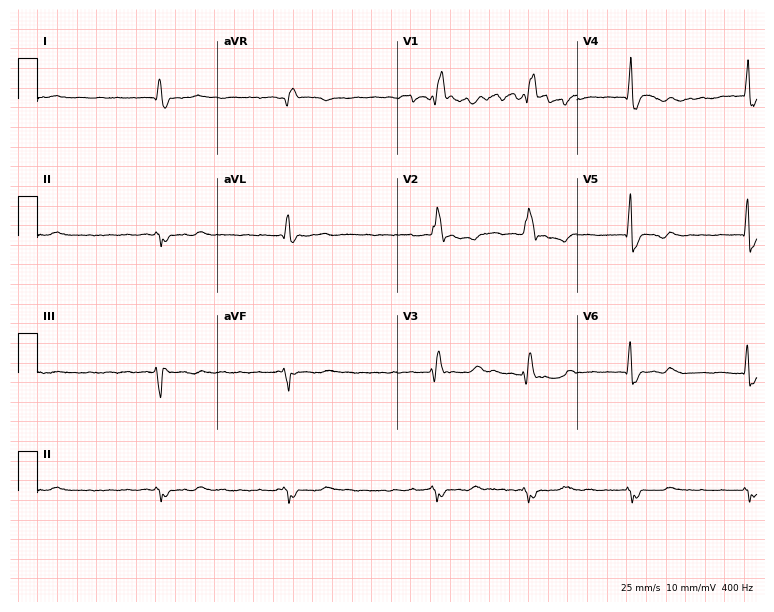
12-lead ECG from a woman, 81 years old (7.3-second recording at 400 Hz). Shows right bundle branch block, atrial fibrillation.